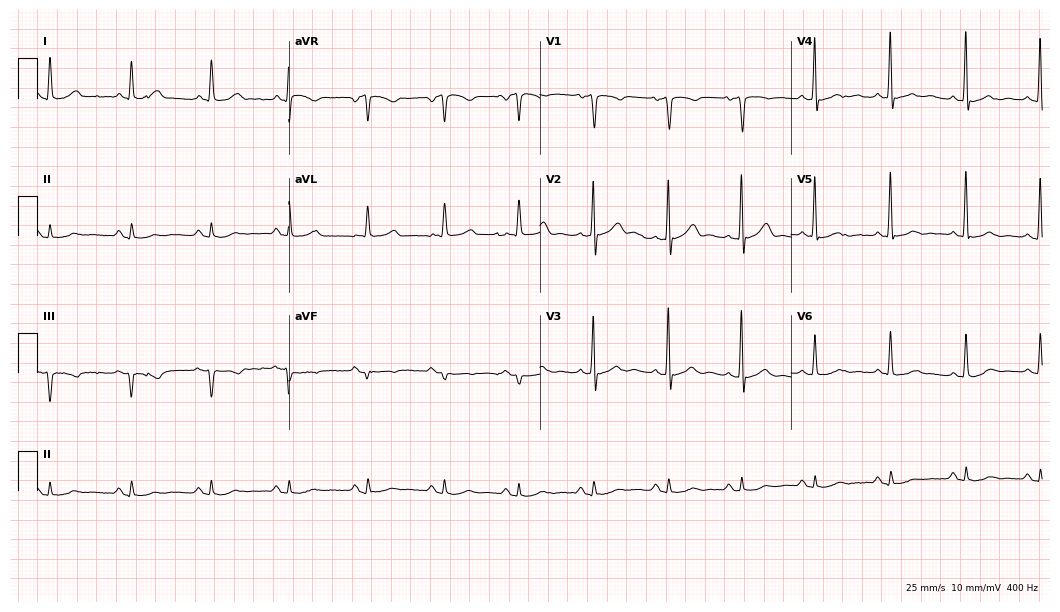
Electrocardiogram, a 75-year-old male. Of the six screened findings (first-degree AV block, right bundle branch block, left bundle branch block, sinus bradycardia, atrial fibrillation, sinus tachycardia), none is recorded.